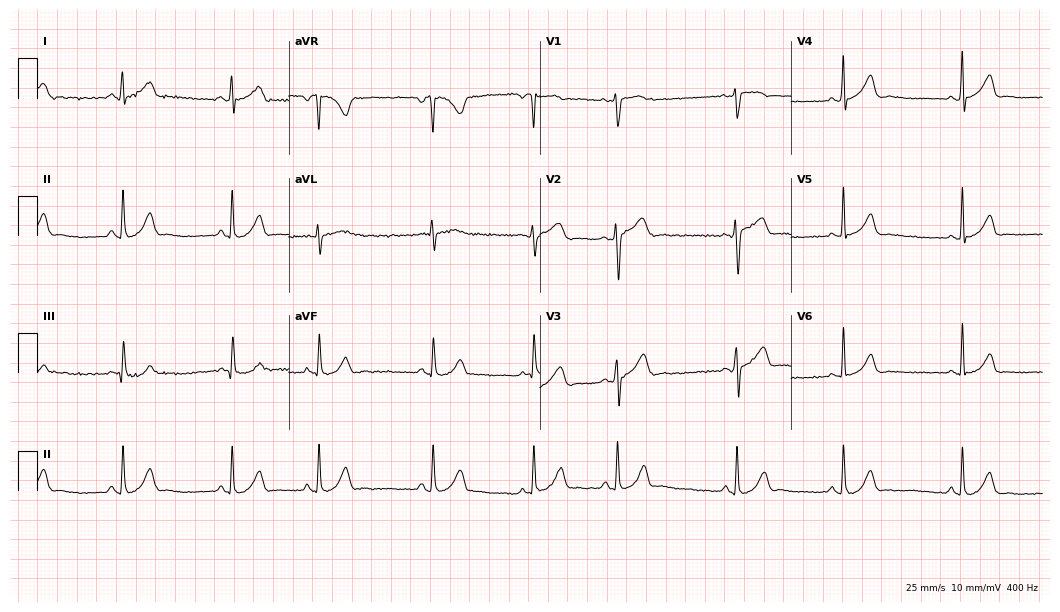
12-lead ECG from a female patient, 20 years old. No first-degree AV block, right bundle branch block (RBBB), left bundle branch block (LBBB), sinus bradycardia, atrial fibrillation (AF) or sinus tachycardia recorded for this tracing. Only these six findings were labelled.